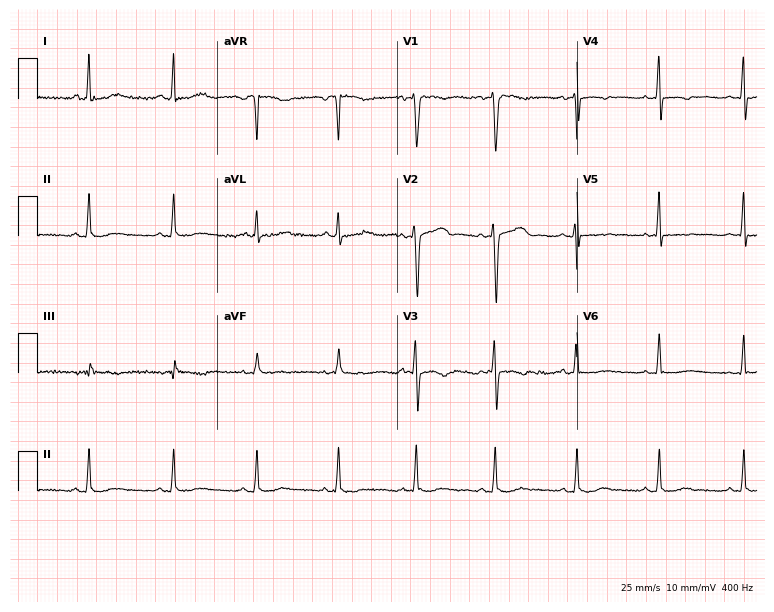
Standard 12-lead ECG recorded from a female patient, 35 years old. None of these six findings is recorded: first-degree AV block, right bundle branch block, left bundle branch block, sinus bradycardia, atrial fibrillation, sinus tachycardia. Only these six findings were labelled.